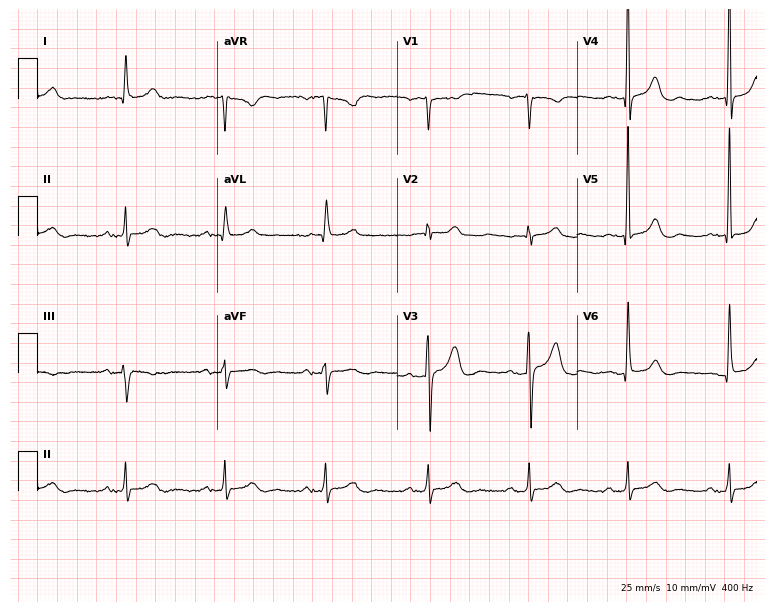
ECG — a male, 78 years old. Labelled as a normal ECG.